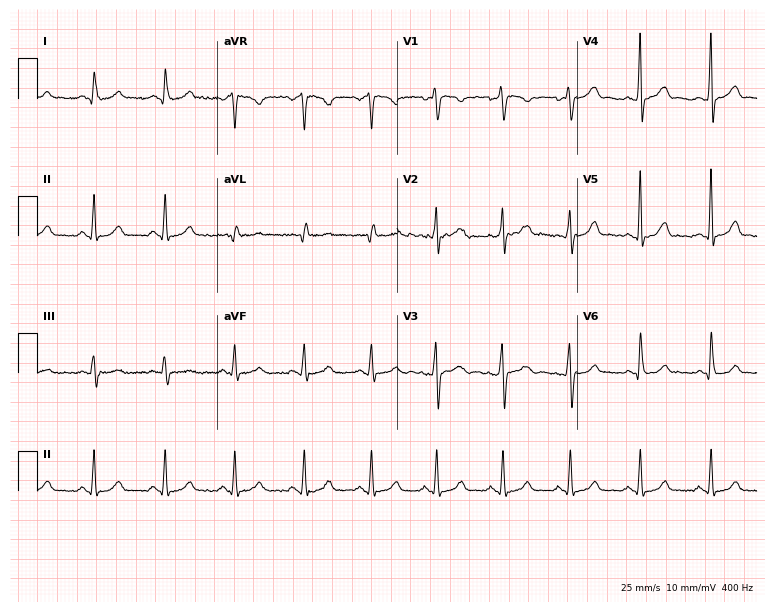
ECG (7.3-second recording at 400 Hz) — a 24-year-old female. Labelled as a normal ECG.